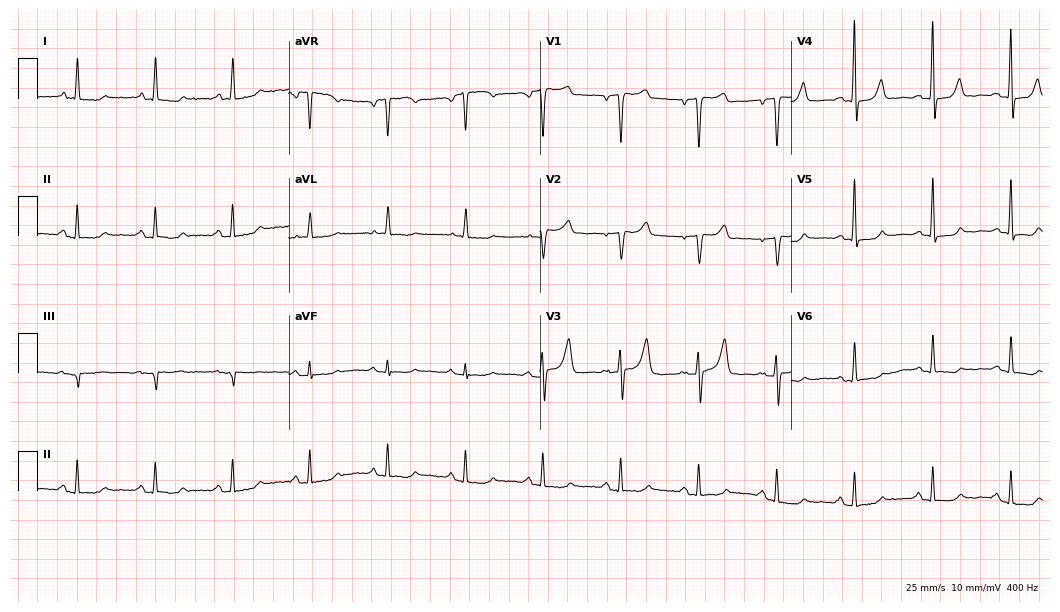
12-lead ECG from a 72-year-old female. Recorded interpretation: within normal limits.